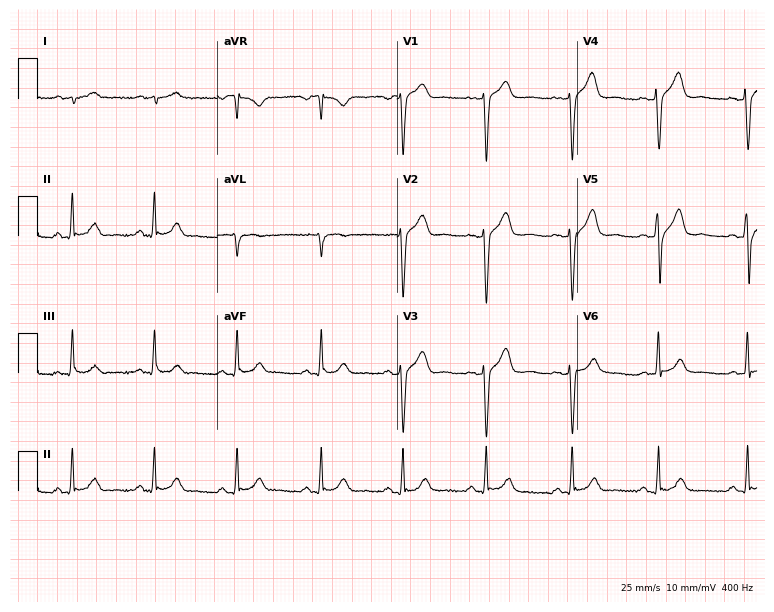
12-lead ECG from a 41-year-old female. No first-degree AV block, right bundle branch block, left bundle branch block, sinus bradycardia, atrial fibrillation or sinus tachycardia recorded for this tracing. Findings outside these six are not listed.